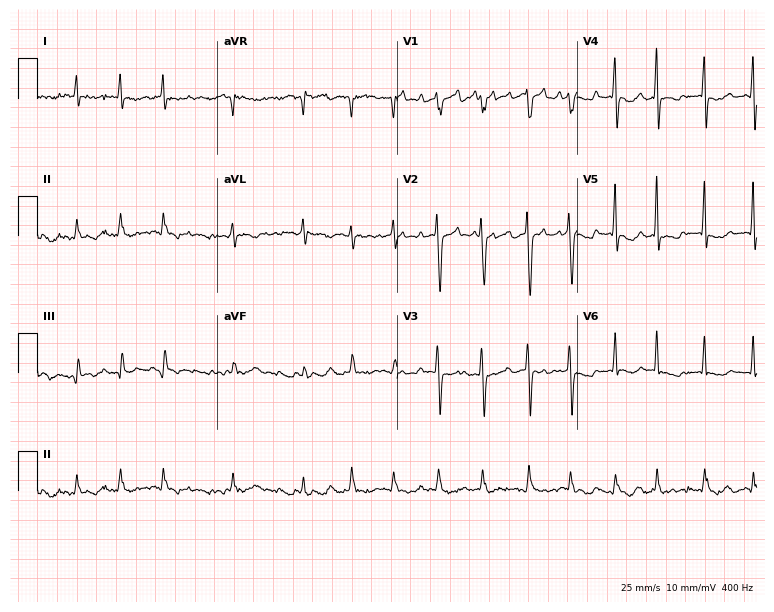
12-lead ECG from a female patient, 74 years old (7.3-second recording at 400 Hz). No first-degree AV block, right bundle branch block (RBBB), left bundle branch block (LBBB), sinus bradycardia, atrial fibrillation (AF) or sinus tachycardia recorded for this tracing. Findings outside these six are not listed.